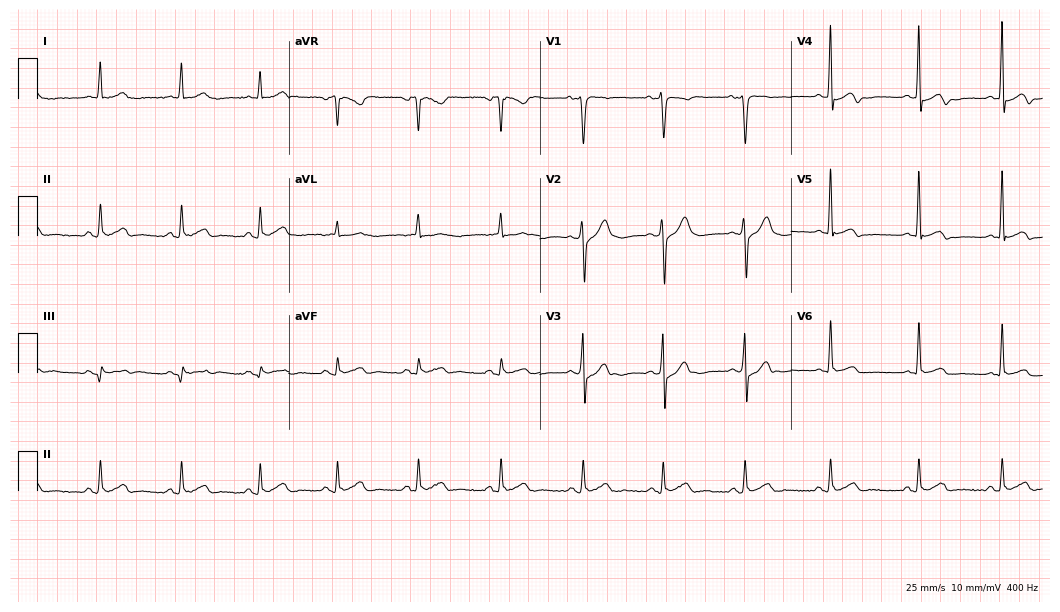
ECG — a 41-year-old man. Screened for six findings — first-degree AV block, right bundle branch block, left bundle branch block, sinus bradycardia, atrial fibrillation, sinus tachycardia — none is recorded.